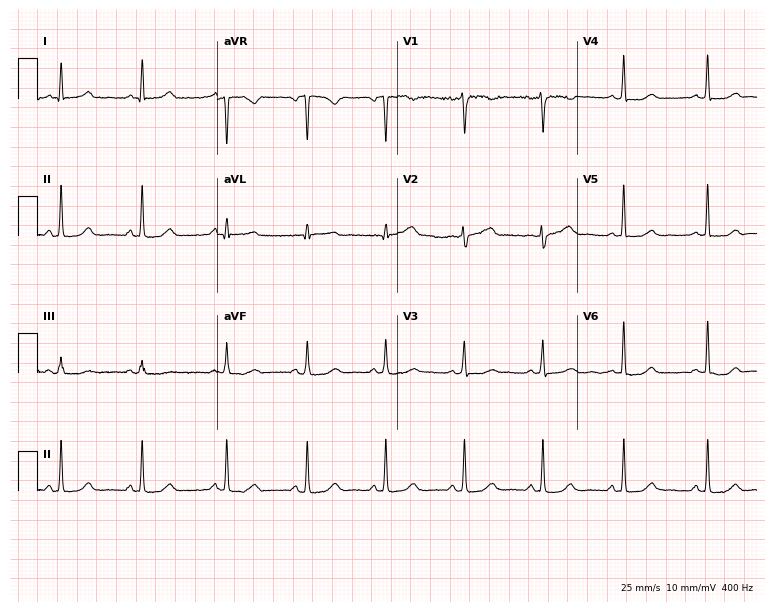
12-lead ECG from a female patient, 38 years old (7.3-second recording at 400 Hz). No first-degree AV block, right bundle branch block (RBBB), left bundle branch block (LBBB), sinus bradycardia, atrial fibrillation (AF) or sinus tachycardia recorded for this tracing. Only these six findings were labelled.